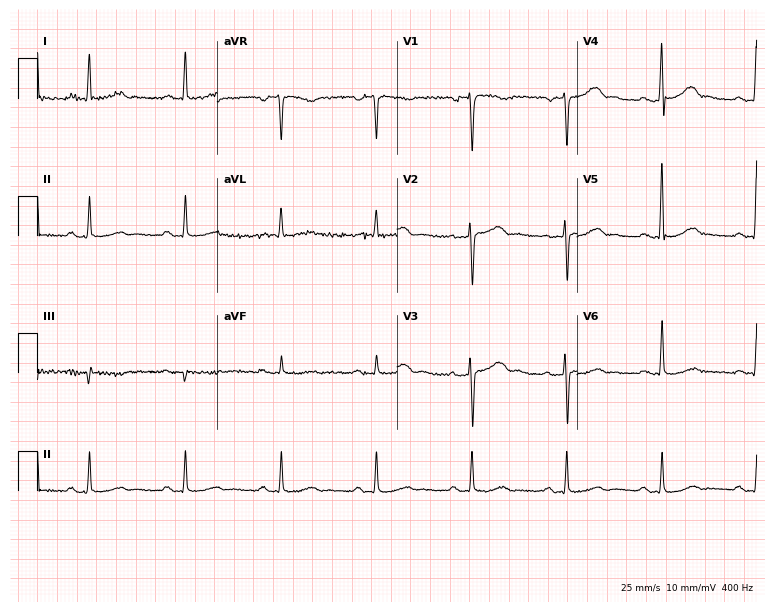
Standard 12-lead ECG recorded from a 70-year-old male (7.3-second recording at 400 Hz). None of these six findings is recorded: first-degree AV block, right bundle branch block (RBBB), left bundle branch block (LBBB), sinus bradycardia, atrial fibrillation (AF), sinus tachycardia.